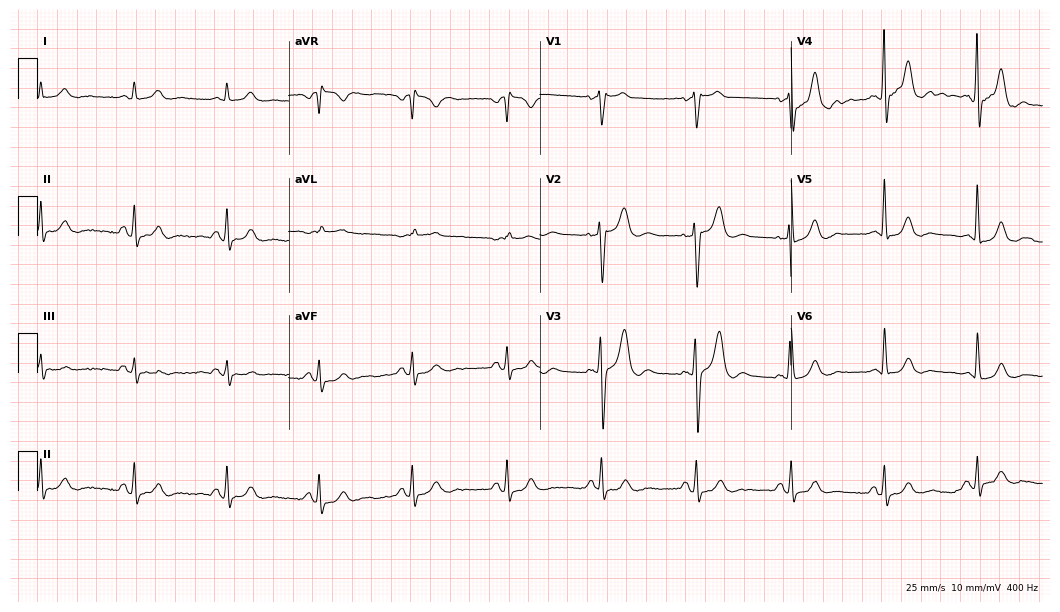
Standard 12-lead ECG recorded from a male, 72 years old (10.2-second recording at 400 Hz). Read as a normal ECG.